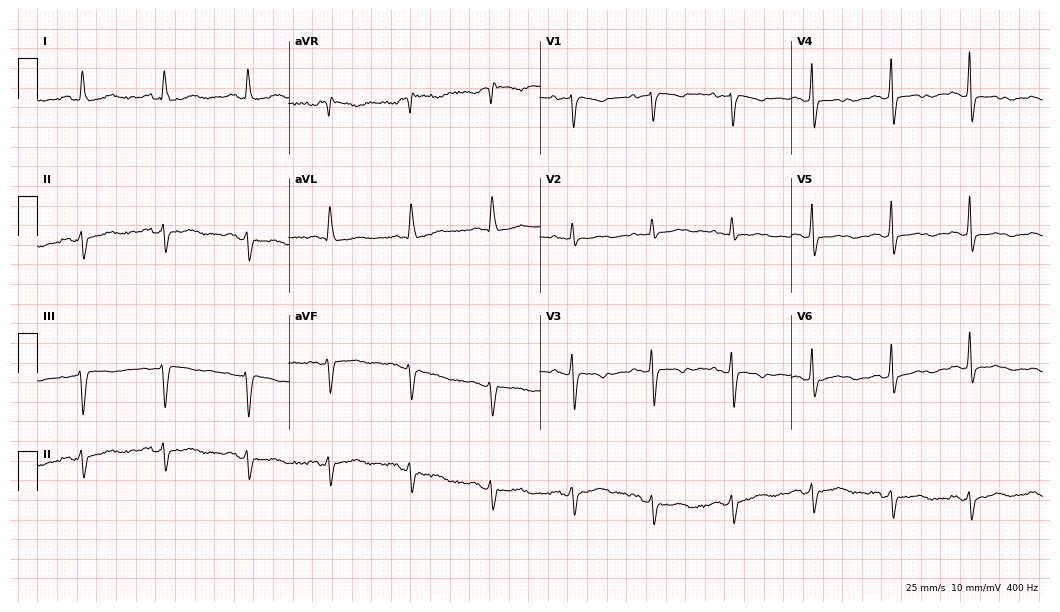
12-lead ECG from a 74-year-old female (10.2-second recording at 400 Hz). No first-degree AV block, right bundle branch block (RBBB), left bundle branch block (LBBB), sinus bradycardia, atrial fibrillation (AF) or sinus tachycardia recorded for this tracing.